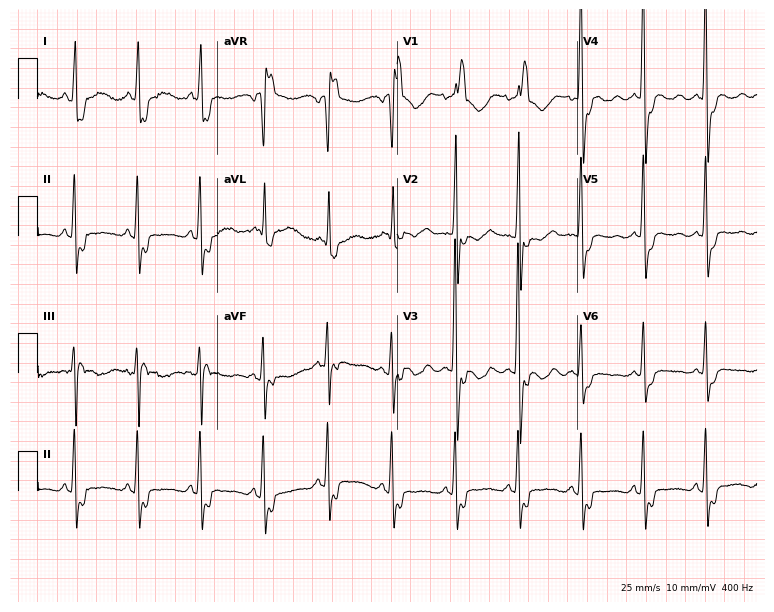
Electrocardiogram (7.3-second recording at 400 Hz), a 76-year-old female patient. Interpretation includes right bundle branch block (RBBB).